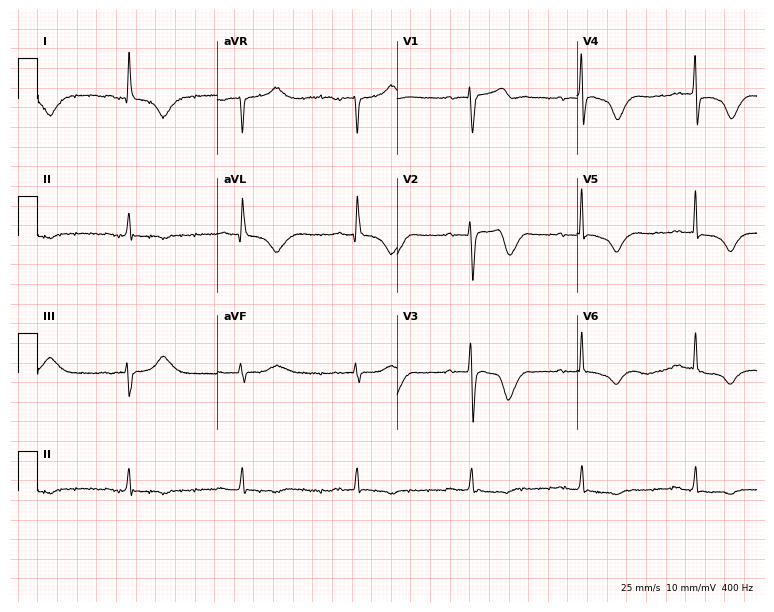
12-lead ECG from an 85-year-old male (7.3-second recording at 400 Hz). No first-degree AV block, right bundle branch block, left bundle branch block, sinus bradycardia, atrial fibrillation or sinus tachycardia recorded for this tracing.